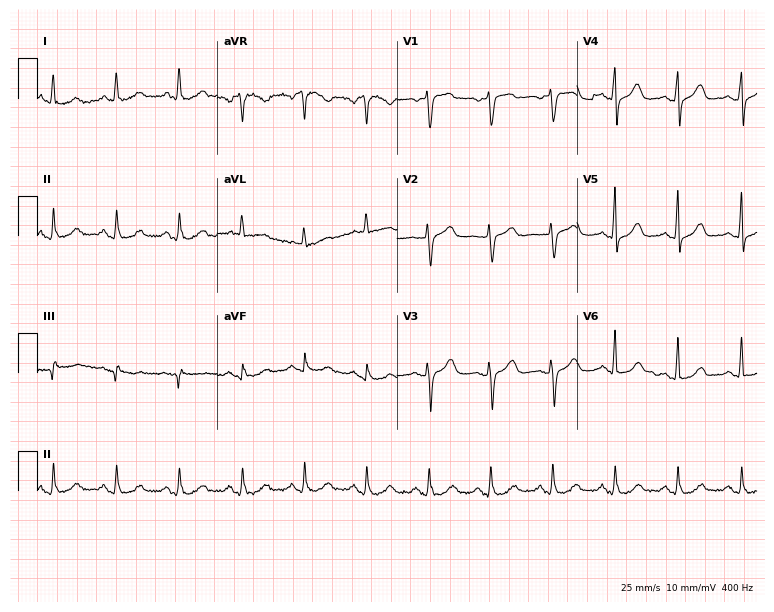
12-lead ECG (7.3-second recording at 400 Hz) from a female patient, 66 years old. Labelled as a normal ECG.